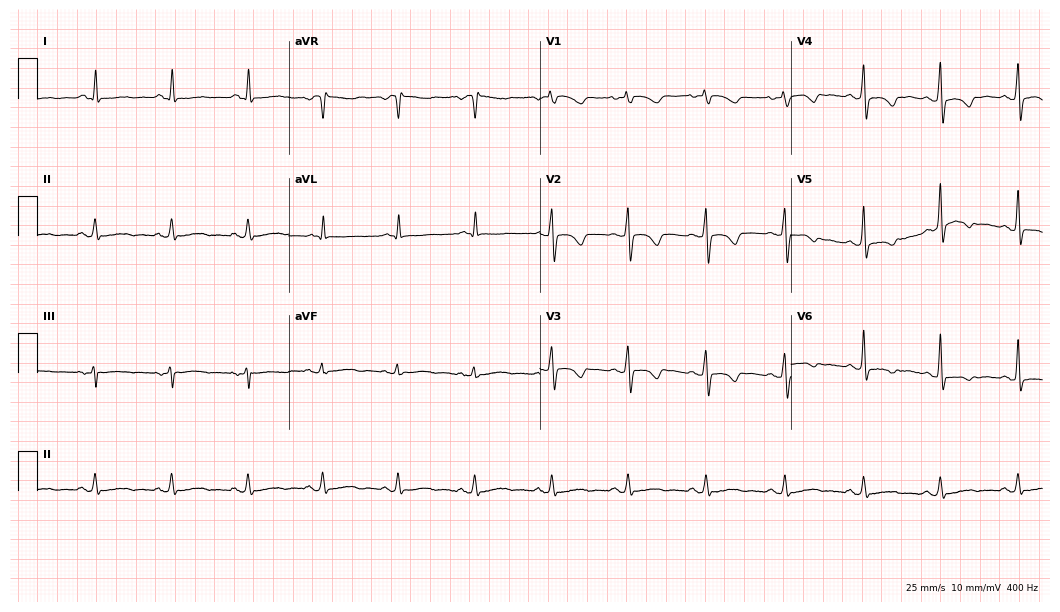
ECG — a female patient, 61 years old. Screened for six findings — first-degree AV block, right bundle branch block (RBBB), left bundle branch block (LBBB), sinus bradycardia, atrial fibrillation (AF), sinus tachycardia — none is recorded. Only these six findings were labelled.